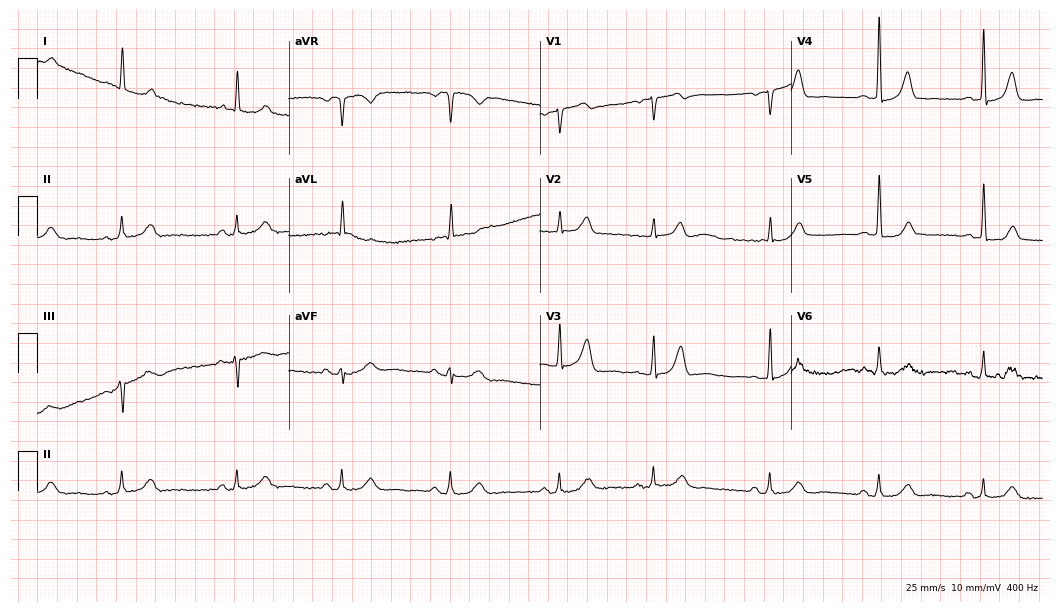
Standard 12-lead ECG recorded from a female, 79 years old (10.2-second recording at 400 Hz). Read as a normal ECG.